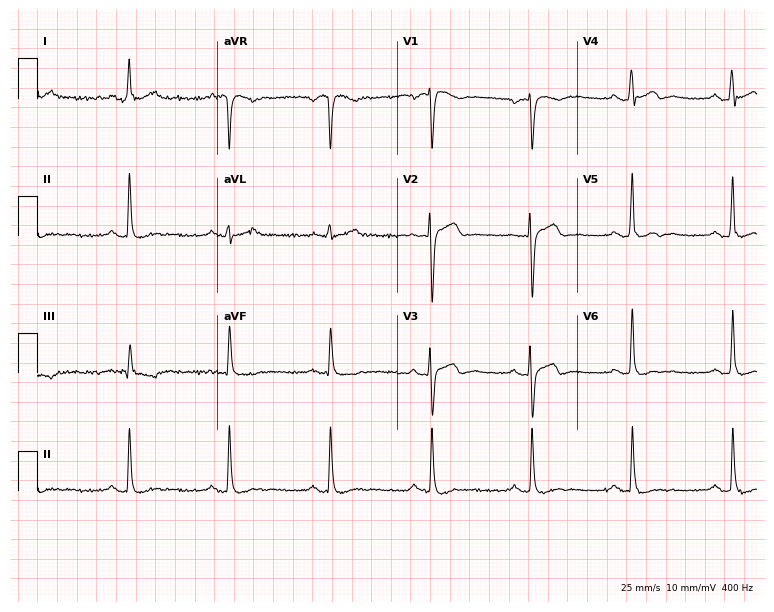
Resting 12-lead electrocardiogram (7.3-second recording at 400 Hz). Patient: a male, 60 years old. None of these six findings is recorded: first-degree AV block, right bundle branch block, left bundle branch block, sinus bradycardia, atrial fibrillation, sinus tachycardia.